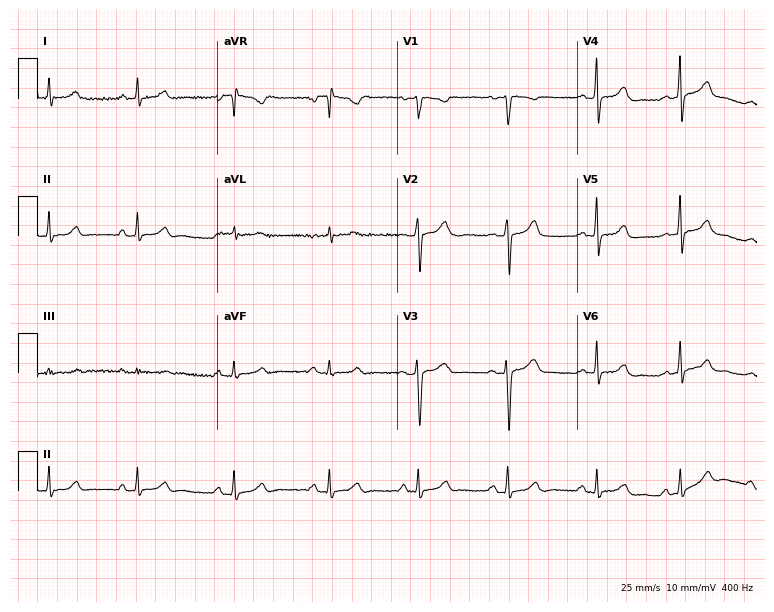
12-lead ECG from a 37-year-old female. Labelled as a normal ECG.